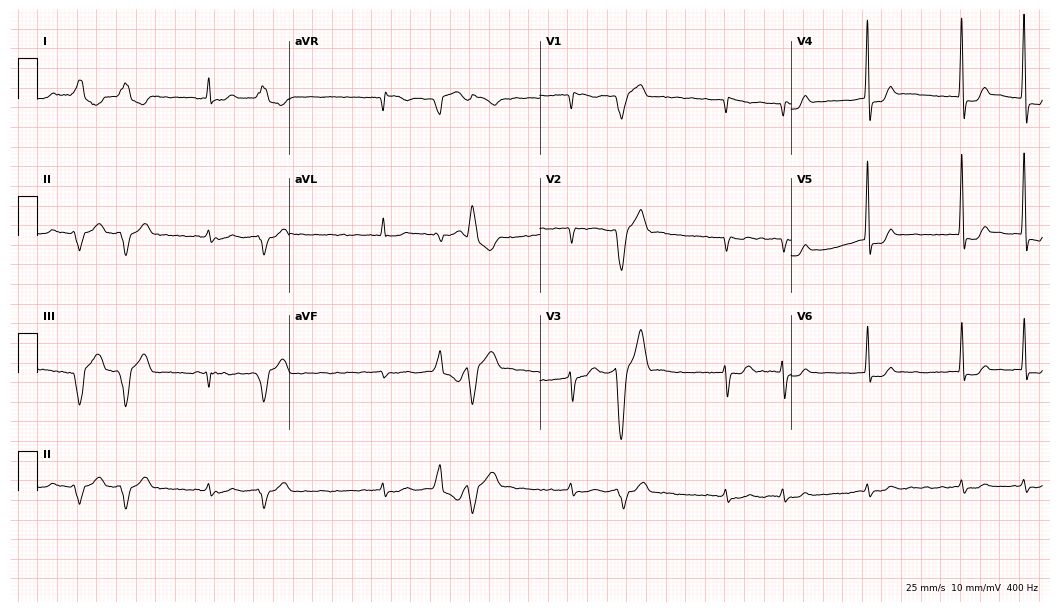
ECG (10.2-second recording at 400 Hz) — a female patient, 82 years old. Findings include atrial fibrillation.